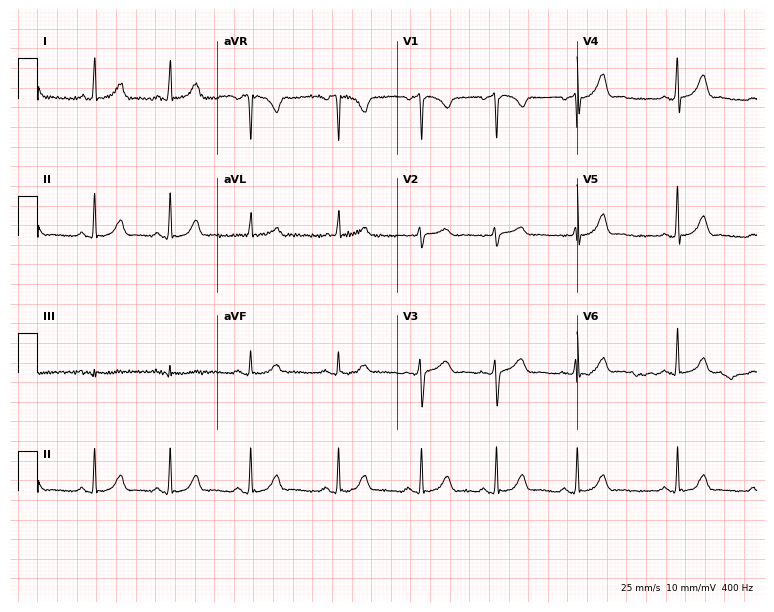
12-lead ECG from a woman, 18 years old (7.3-second recording at 400 Hz). Recorded interpretation: within normal limits.